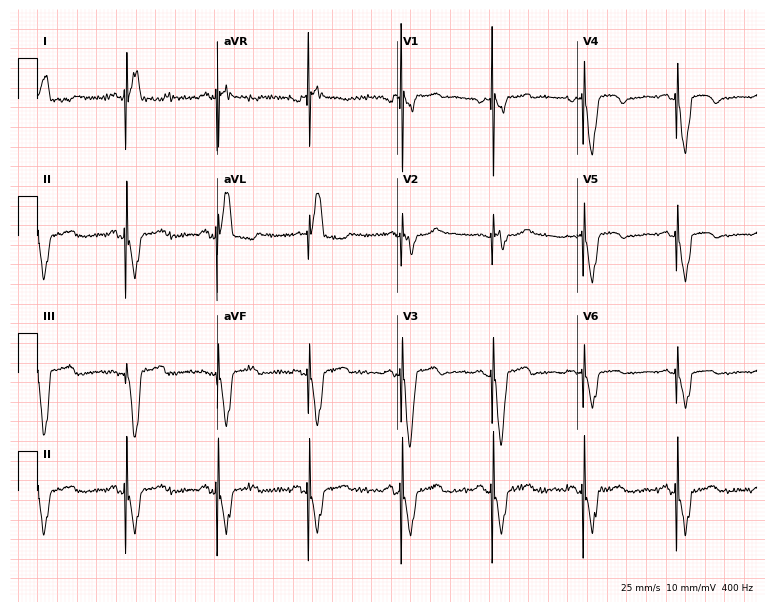
12-lead ECG from a female patient, 71 years old. Screened for six findings — first-degree AV block, right bundle branch block (RBBB), left bundle branch block (LBBB), sinus bradycardia, atrial fibrillation (AF), sinus tachycardia — none is recorded. Other findings, if any, are not listed.